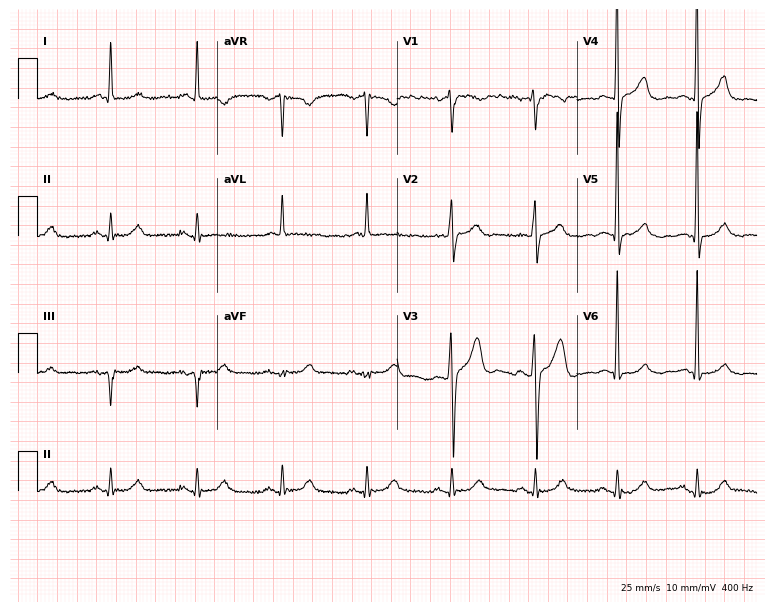
ECG — a male patient, 63 years old. Screened for six findings — first-degree AV block, right bundle branch block, left bundle branch block, sinus bradycardia, atrial fibrillation, sinus tachycardia — none is recorded. Other findings, if any, are not listed.